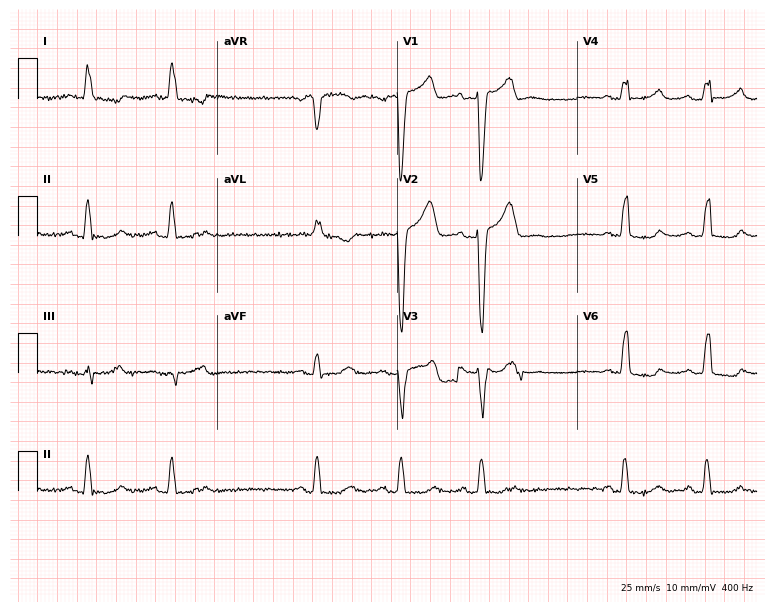
12-lead ECG from an 82-year-old female patient. Shows left bundle branch block.